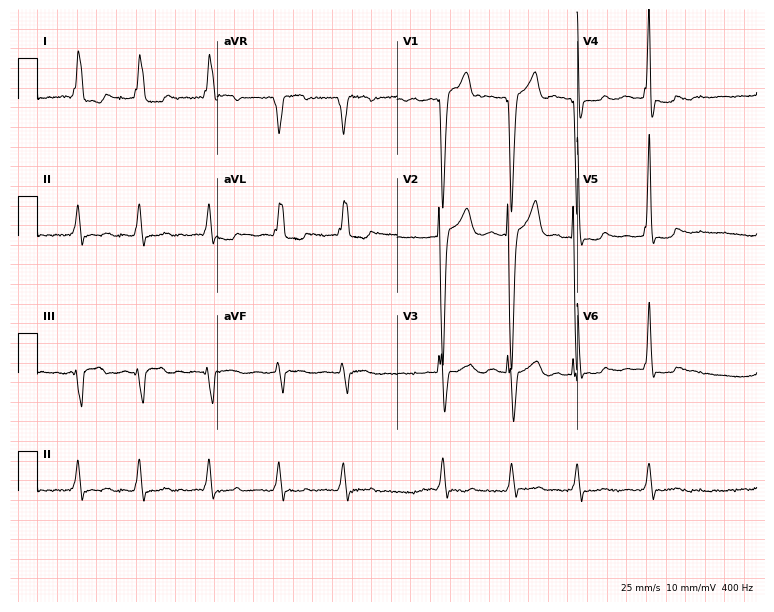
Standard 12-lead ECG recorded from a female, 71 years old. The tracing shows left bundle branch block (LBBB), atrial fibrillation (AF).